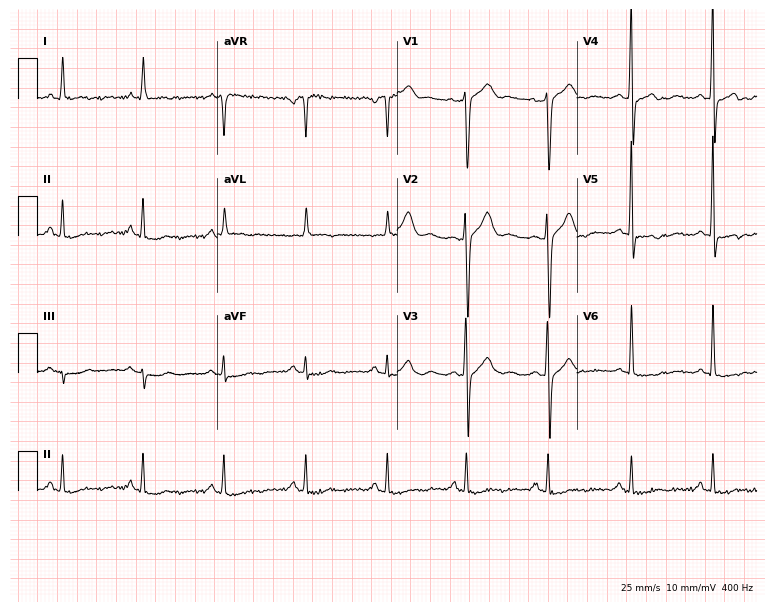
ECG (7.3-second recording at 400 Hz) — a 53-year-old male patient. Labelled as a normal ECG.